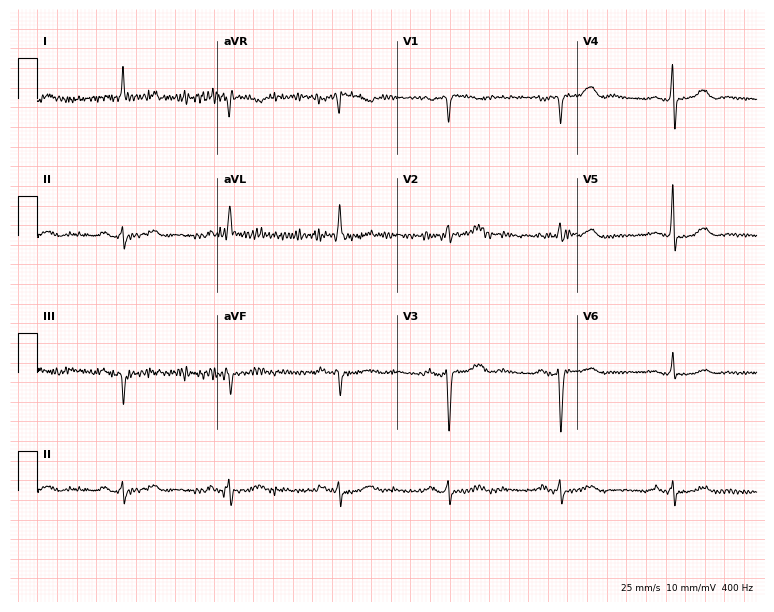
Standard 12-lead ECG recorded from a female patient, 79 years old (7.3-second recording at 400 Hz). None of these six findings is recorded: first-degree AV block, right bundle branch block, left bundle branch block, sinus bradycardia, atrial fibrillation, sinus tachycardia. Other findings, if any, are not listed.